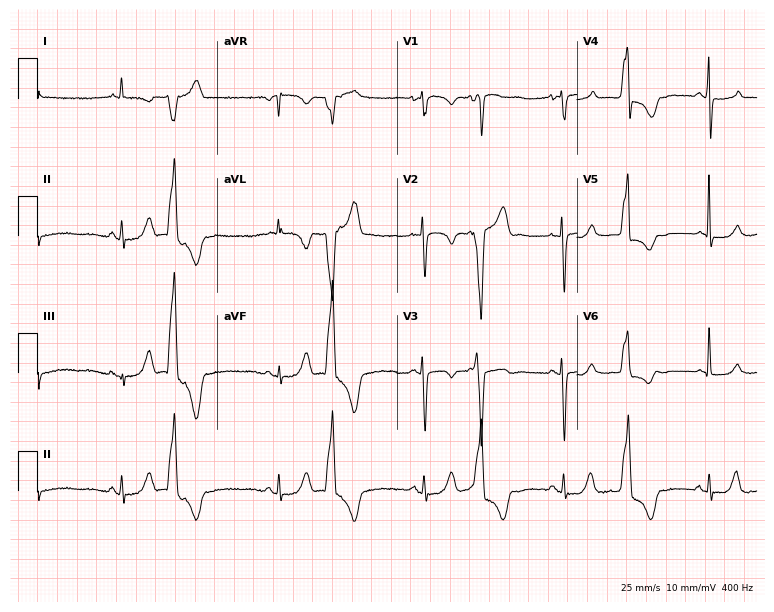
Standard 12-lead ECG recorded from a 45-year-old female patient. None of these six findings is recorded: first-degree AV block, right bundle branch block, left bundle branch block, sinus bradycardia, atrial fibrillation, sinus tachycardia. Other findings, if any, are not listed.